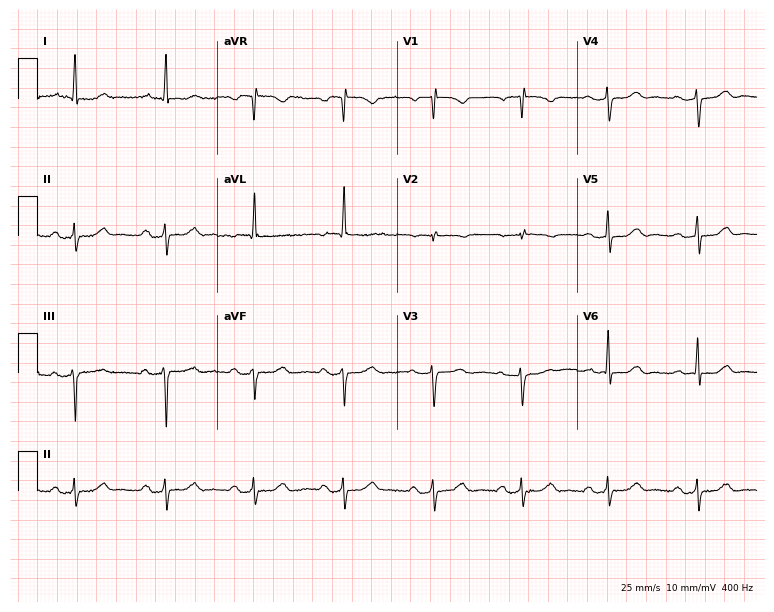
Standard 12-lead ECG recorded from a female patient, 83 years old. None of these six findings is recorded: first-degree AV block, right bundle branch block (RBBB), left bundle branch block (LBBB), sinus bradycardia, atrial fibrillation (AF), sinus tachycardia. Only these six findings were labelled.